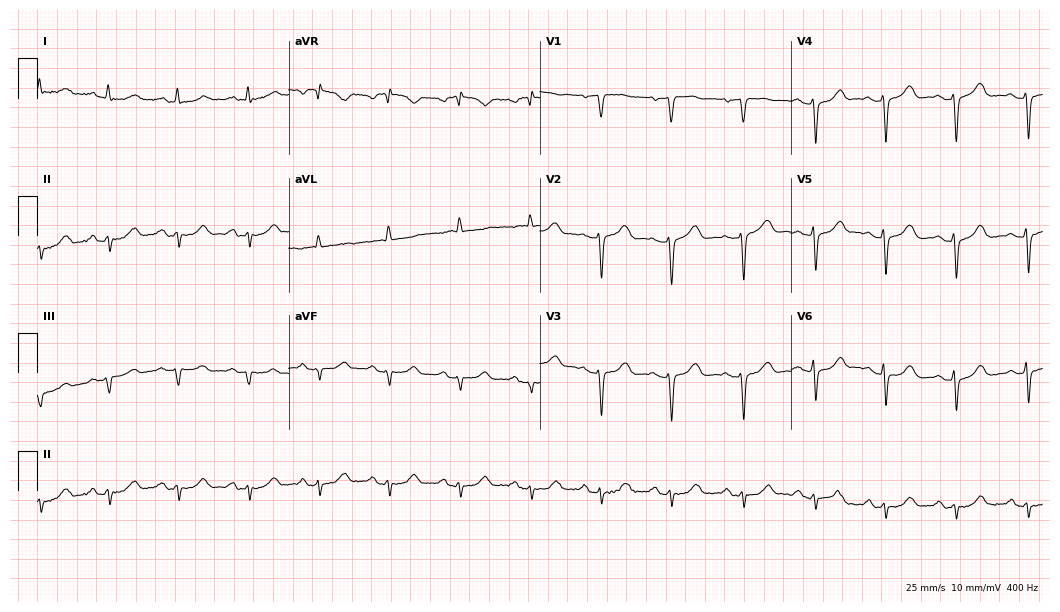
12-lead ECG from a female, 64 years old (10.2-second recording at 400 Hz). No first-degree AV block, right bundle branch block, left bundle branch block, sinus bradycardia, atrial fibrillation or sinus tachycardia recorded for this tracing. Findings outside these six are not listed.